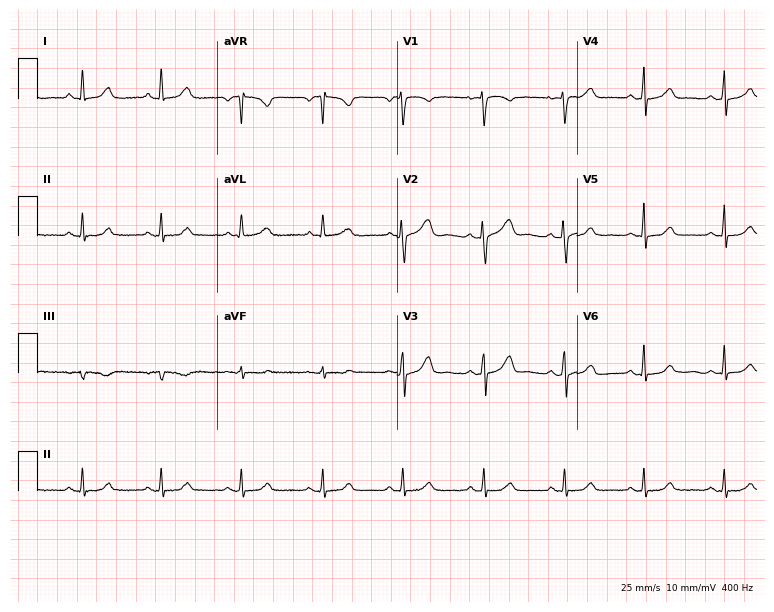
12-lead ECG (7.3-second recording at 400 Hz) from a female patient, 44 years old. Labelled as a normal ECG.